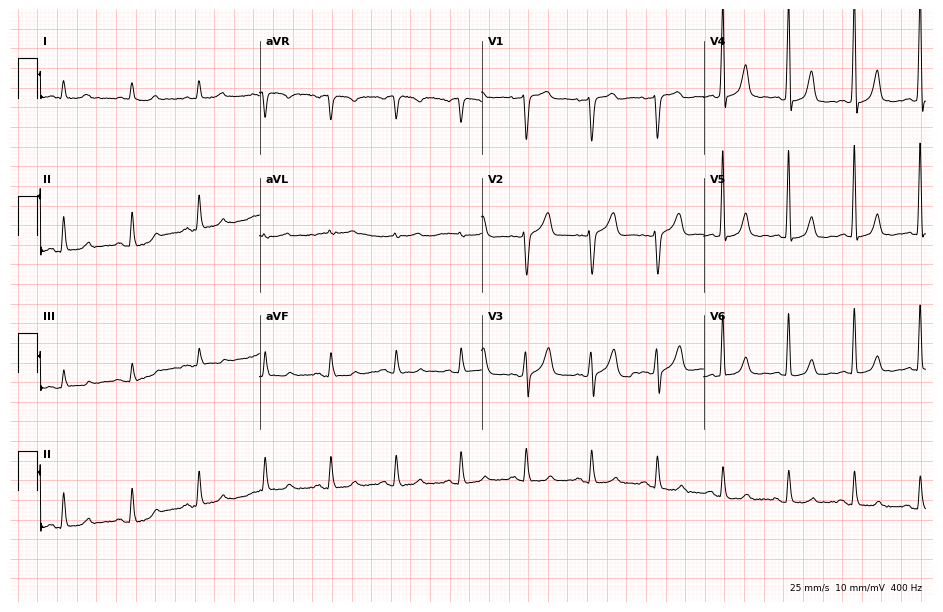
ECG — a 62-year-old woman. Screened for six findings — first-degree AV block, right bundle branch block (RBBB), left bundle branch block (LBBB), sinus bradycardia, atrial fibrillation (AF), sinus tachycardia — none is recorded. Findings outside these six are not listed.